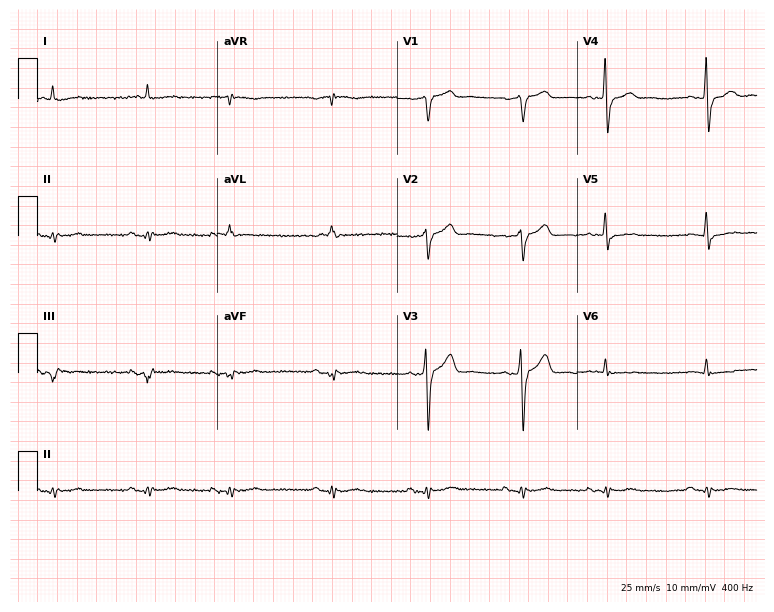
Electrocardiogram (7.3-second recording at 400 Hz), a 64-year-old man. Of the six screened findings (first-degree AV block, right bundle branch block, left bundle branch block, sinus bradycardia, atrial fibrillation, sinus tachycardia), none is recorded. Only these six findings were labelled.